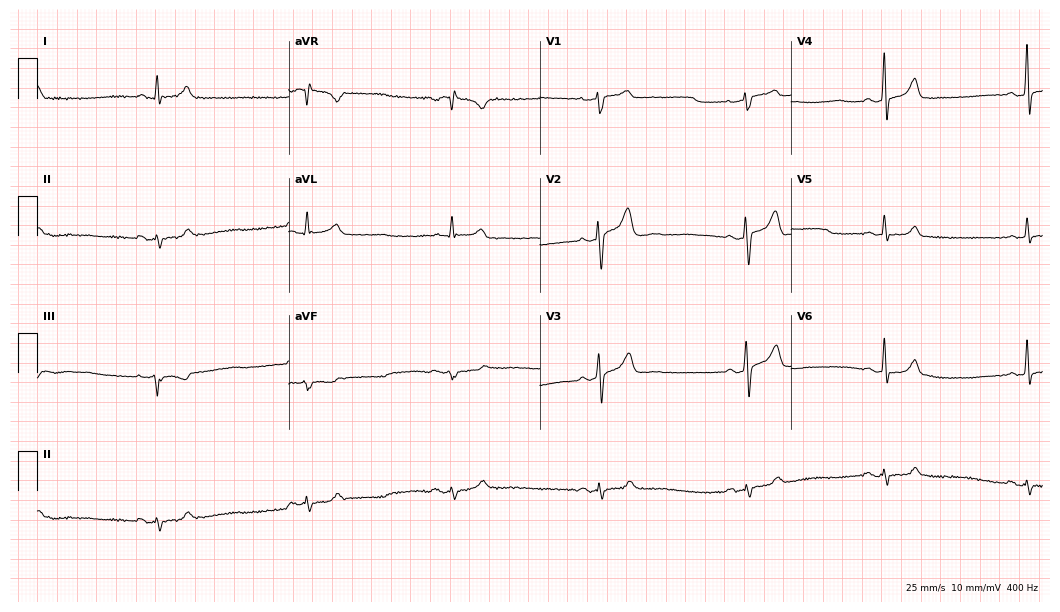
Electrocardiogram, a 56-year-old male patient. Interpretation includes sinus bradycardia (a sinus rate of 50 beats per minute or less).